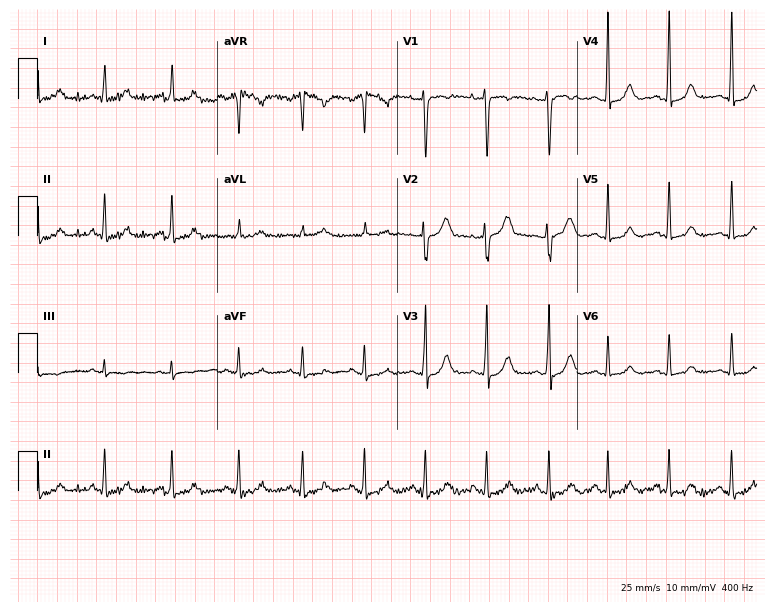
12-lead ECG from a female patient, 35 years old. Screened for six findings — first-degree AV block, right bundle branch block, left bundle branch block, sinus bradycardia, atrial fibrillation, sinus tachycardia — none is recorded. Findings outside these six are not listed.